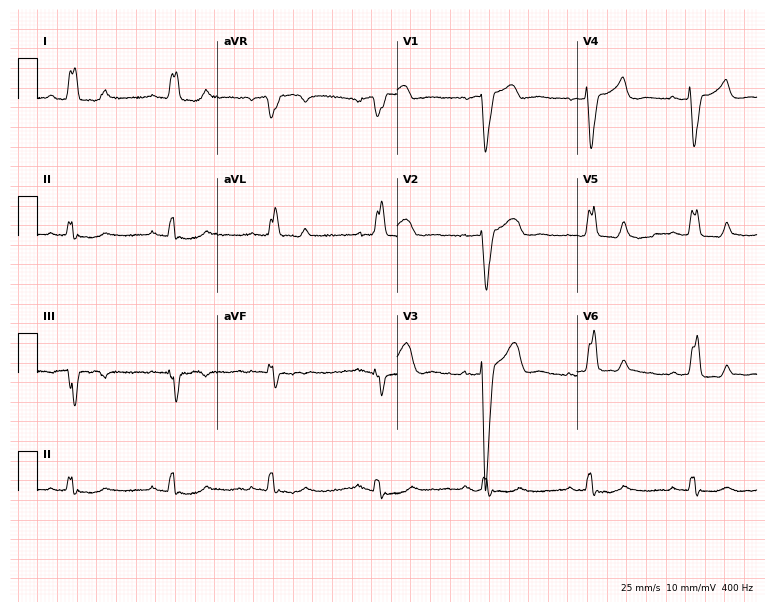
Electrocardiogram (7.3-second recording at 400 Hz), a male, 83 years old. Of the six screened findings (first-degree AV block, right bundle branch block, left bundle branch block, sinus bradycardia, atrial fibrillation, sinus tachycardia), none is recorded. Other findings, if any, are not listed.